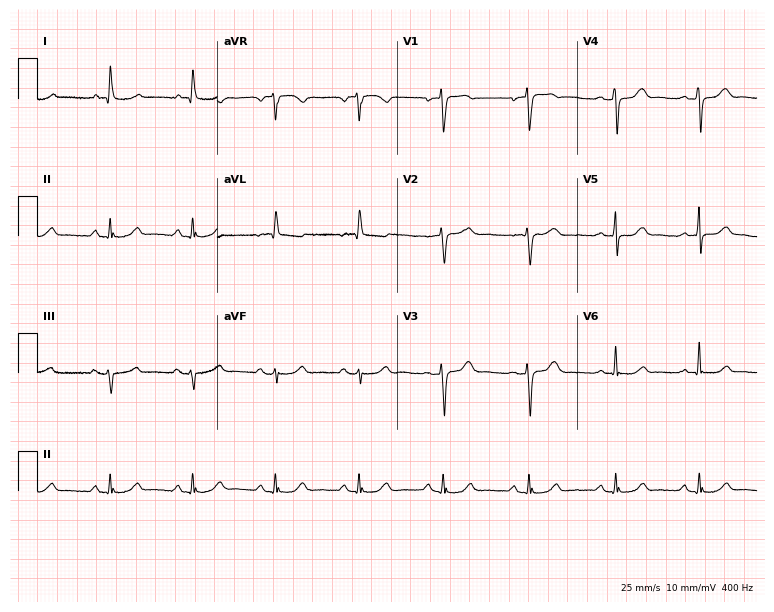
12-lead ECG from a female, 66 years old (7.3-second recording at 400 Hz). No first-degree AV block, right bundle branch block, left bundle branch block, sinus bradycardia, atrial fibrillation or sinus tachycardia recorded for this tracing.